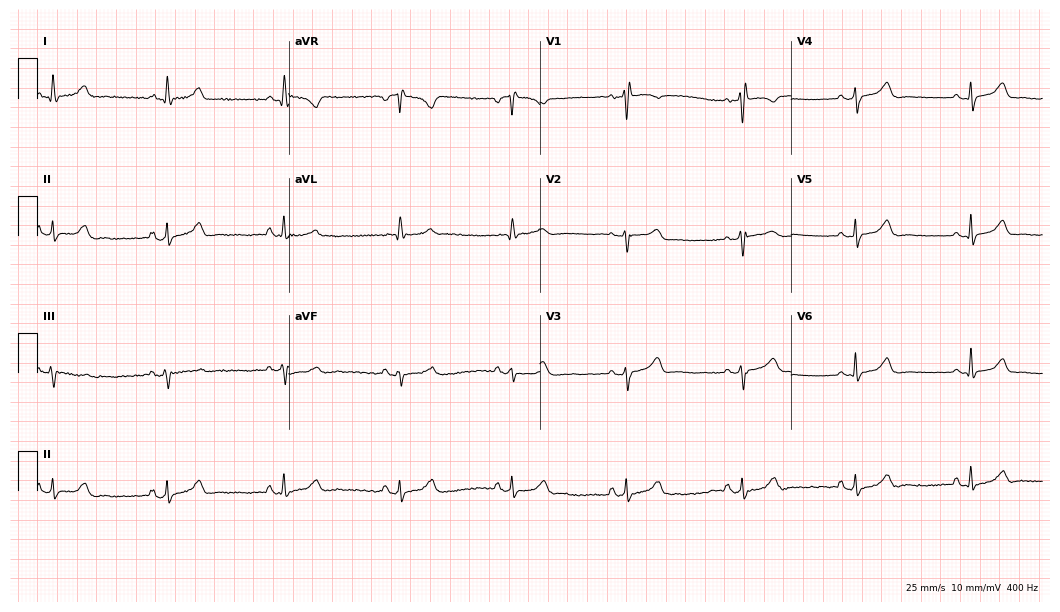
12-lead ECG from a 67-year-old female. Recorded interpretation: within normal limits.